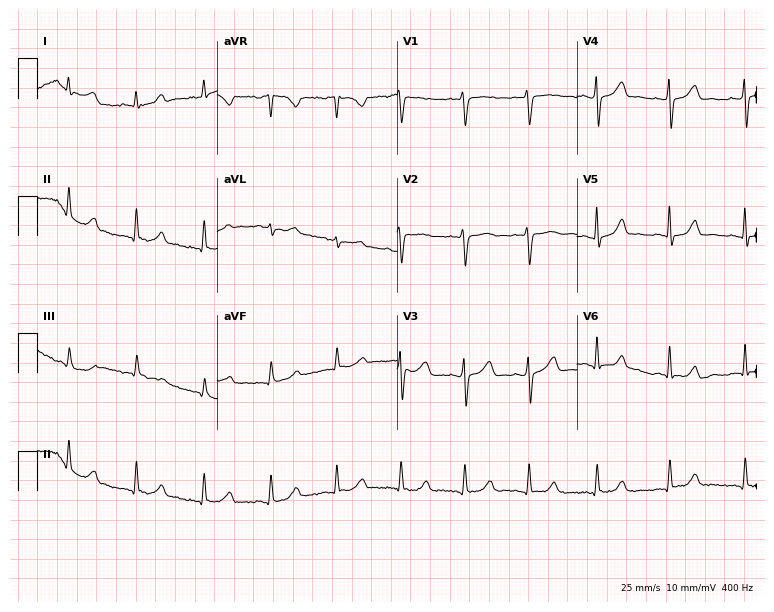
12-lead ECG from a 40-year-old woman (7.3-second recording at 400 Hz). No first-degree AV block, right bundle branch block, left bundle branch block, sinus bradycardia, atrial fibrillation or sinus tachycardia recorded for this tracing.